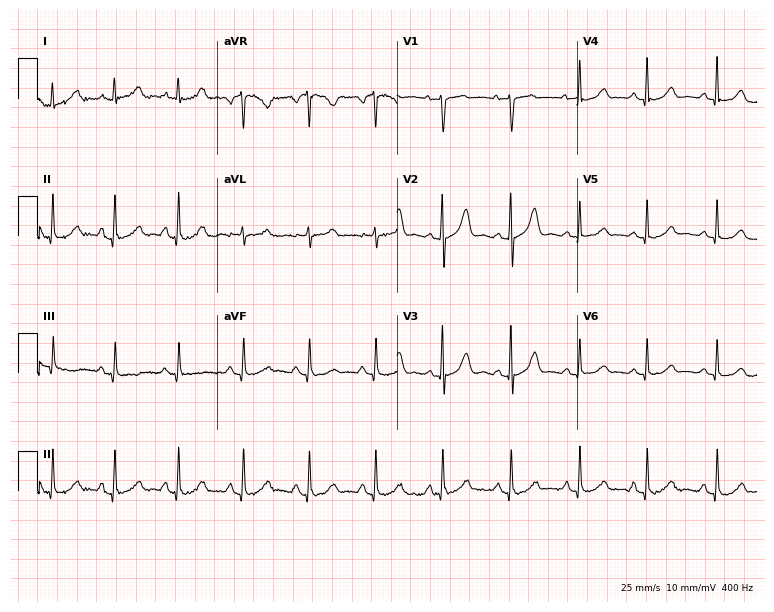
12-lead ECG from a 63-year-old female patient. Labelled as a normal ECG.